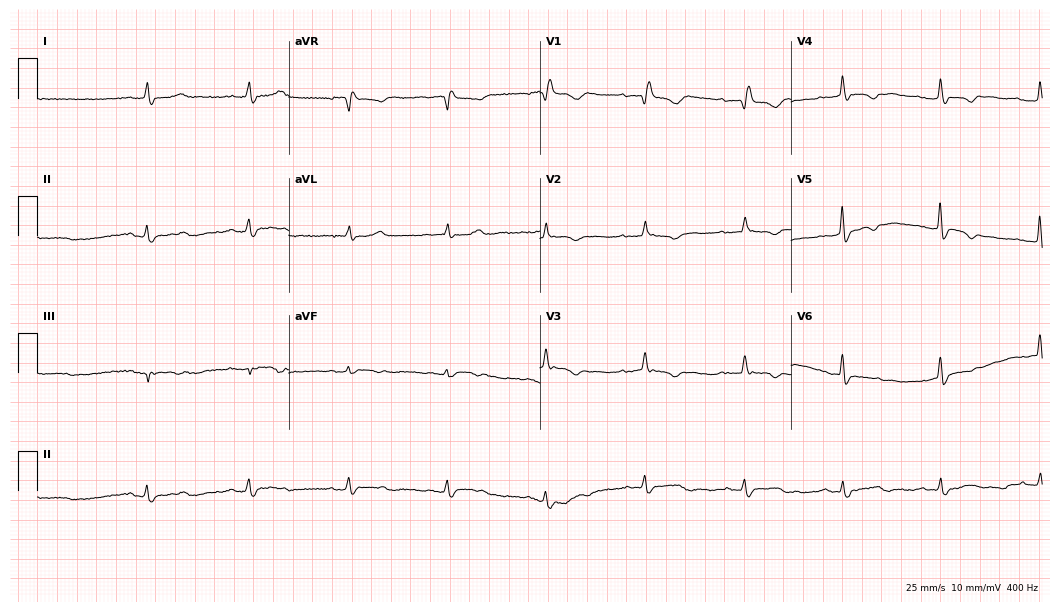
12-lead ECG from a 43-year-old female patient. Findings include right bundle branch block (RBBB).